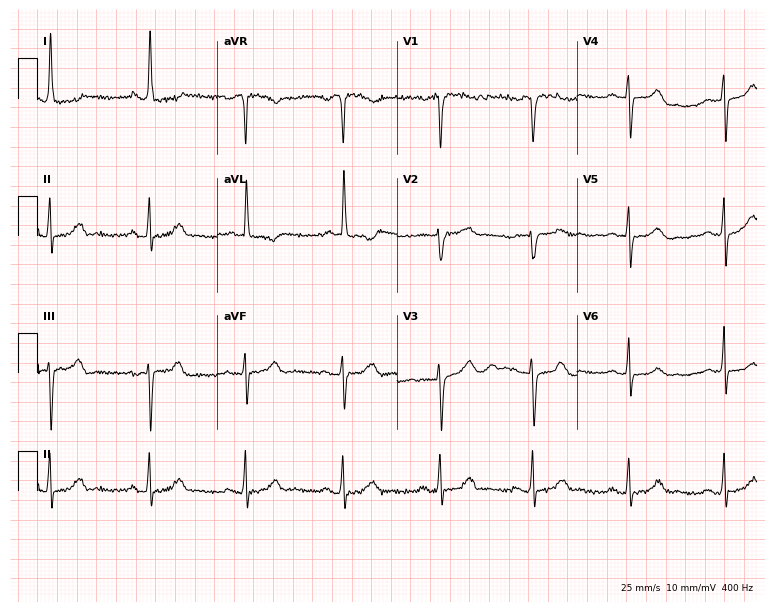
Electrocardiogram (7.3-second recording at 400 Hz), a 71-year-old female patient. Of the six screened findings (first-degree AV block, right bundle branch block (RBBB), left bundle branch block (LBBB), sinus bradycardia, atrial fibrillation (AF), sinus tachycardia), none is recorded. Findings outside these six are not listed.